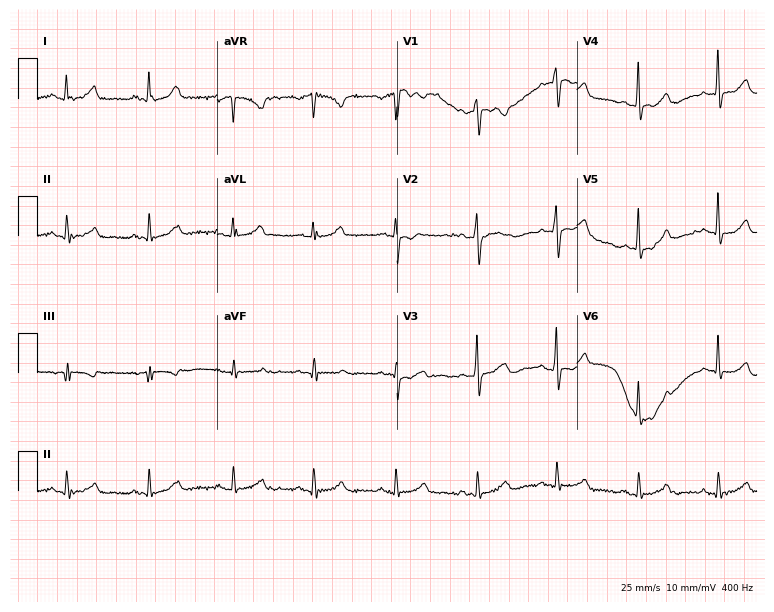
ECG — a 44-year-old woman. Labelled as a normal ECG.